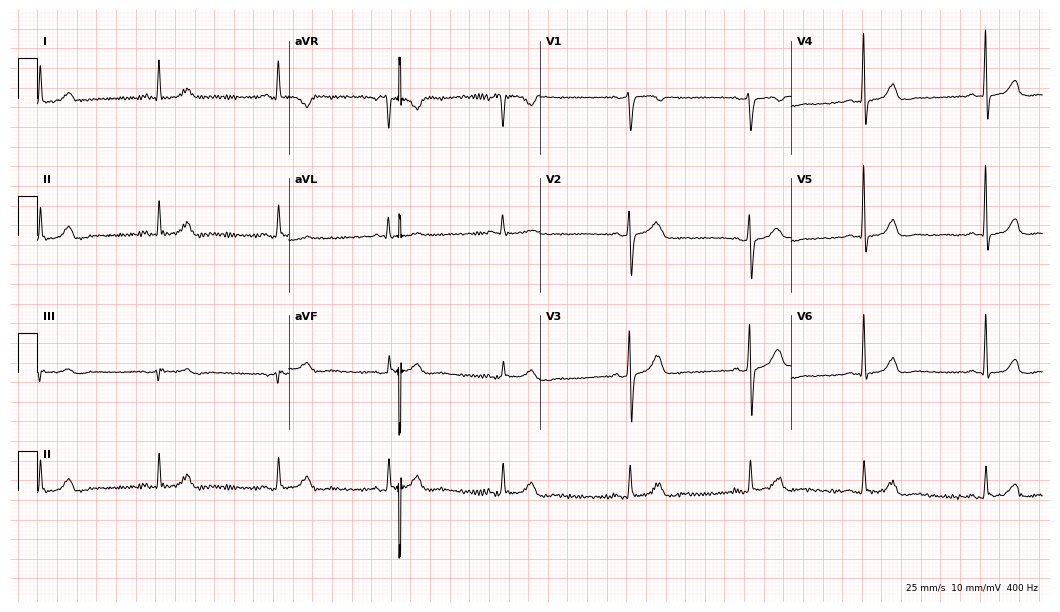
ECG (10.2-second recording at 400 Hz) — a female patient, 58 years old. Screened for six findings — first-degree AV block, right bundle branch block, left bundle branch block, sinus bradycardia, atrial fibrillation, sinus tachycardia — none is recorded.